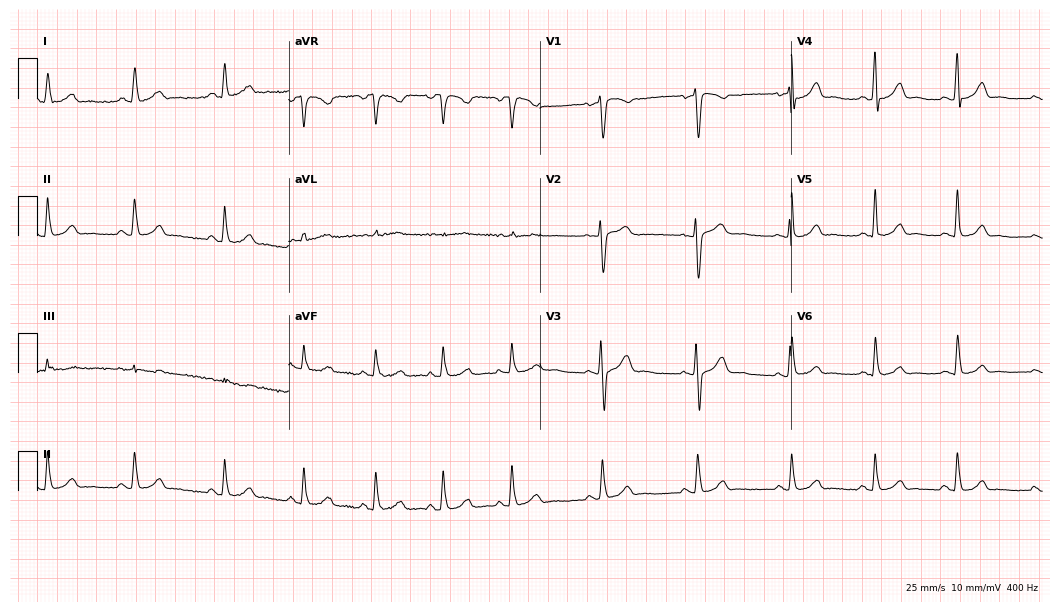
Electrocardiogram, a female patient, 30 years old. Overall reading on record: normal ECG.